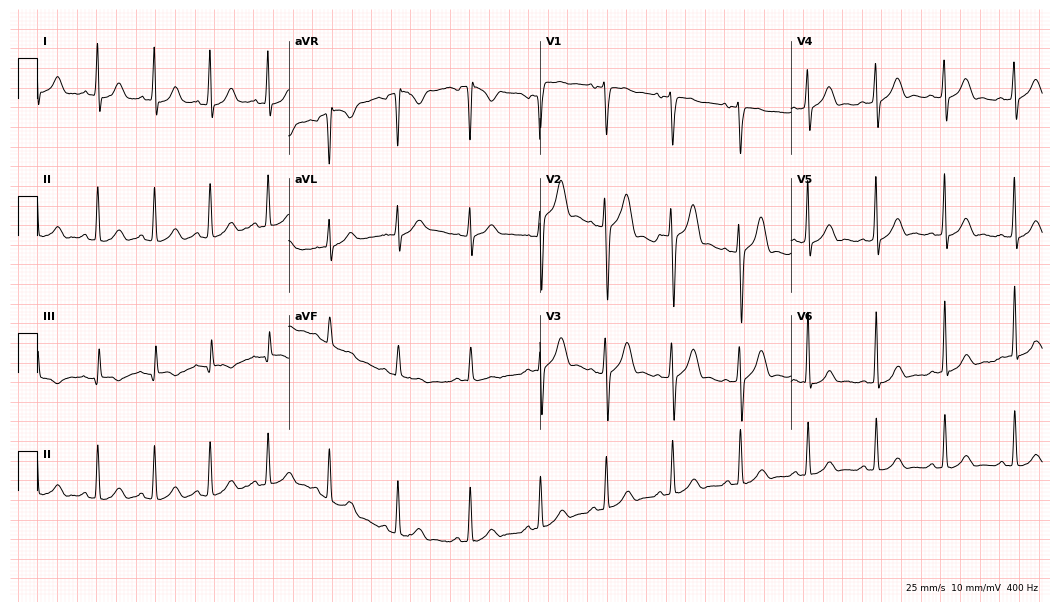
12-lead ECG from a man, 26 years old (10.2-second recording at 400 Hz). No first-degree AV block, right bundle branch block, left bundle branch block, sinus bradycardia, atrial fibrillation or sinus tachycardia recorded for this tracing. Findings outside these six are not listed.